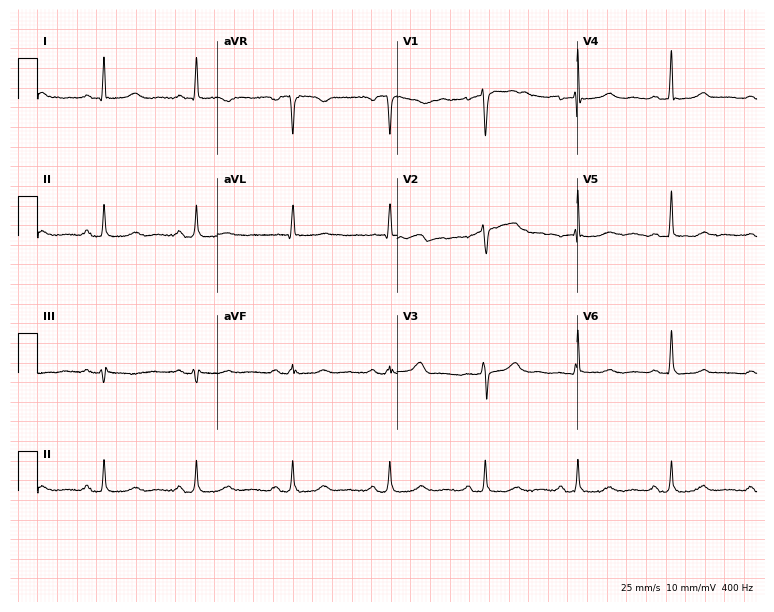
Standard 12-lead ECG recorded from a female, 56 years old. Read as a normal ECG.